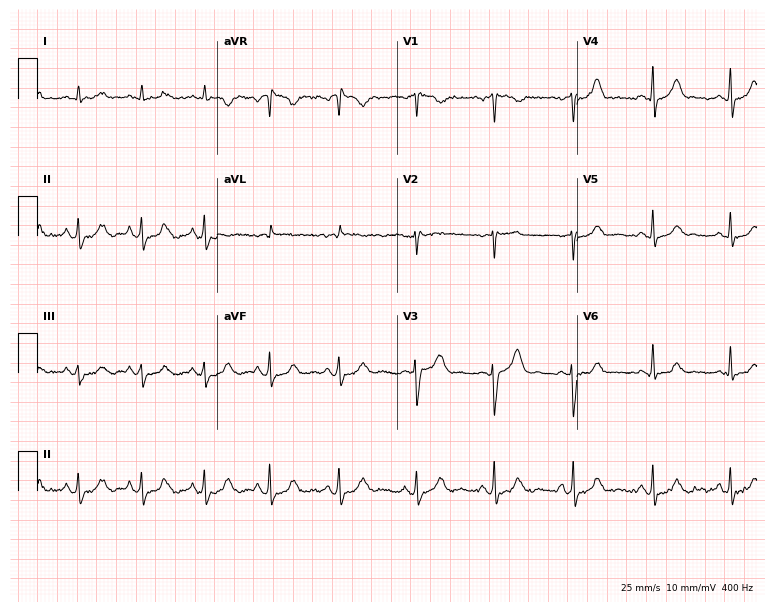
Standard 12-lead ECG recorded from a 38-year-old female (7.3-second recording at 400 Hz). None of these six findings is recorded: first-degree AV block, right bundle branch block, left bundle branch block, sinus bradycardia, atrial fibrillation, sinus tachycardia.